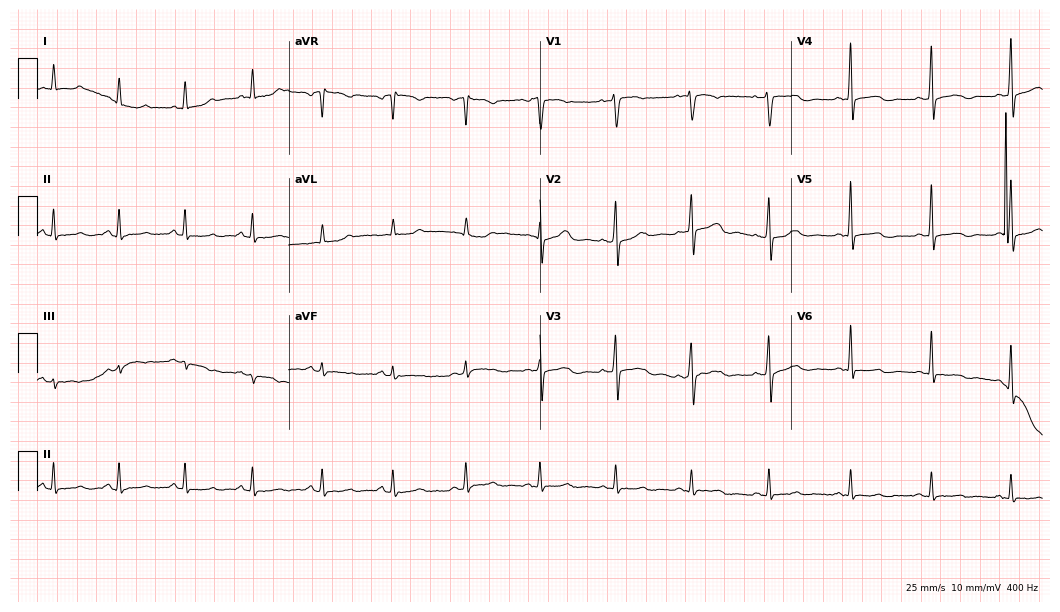
Resting 12-lead electrocardiogram (10.2-second recording at 400 Hz). Patient: a woman, 54 years old. None of these six findings is recorded: first-degree AV block, right bundle branch block, left bundle branch block, sinus bradycardia, atrial fibrillation, sinus tachycardia.